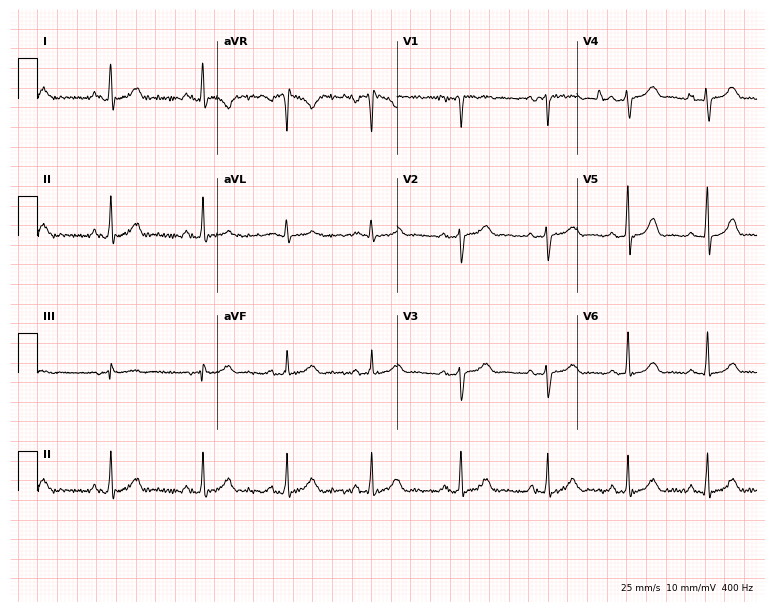
12-lead ECG from a 35-year-old woman. Labelled as a normal ECG.